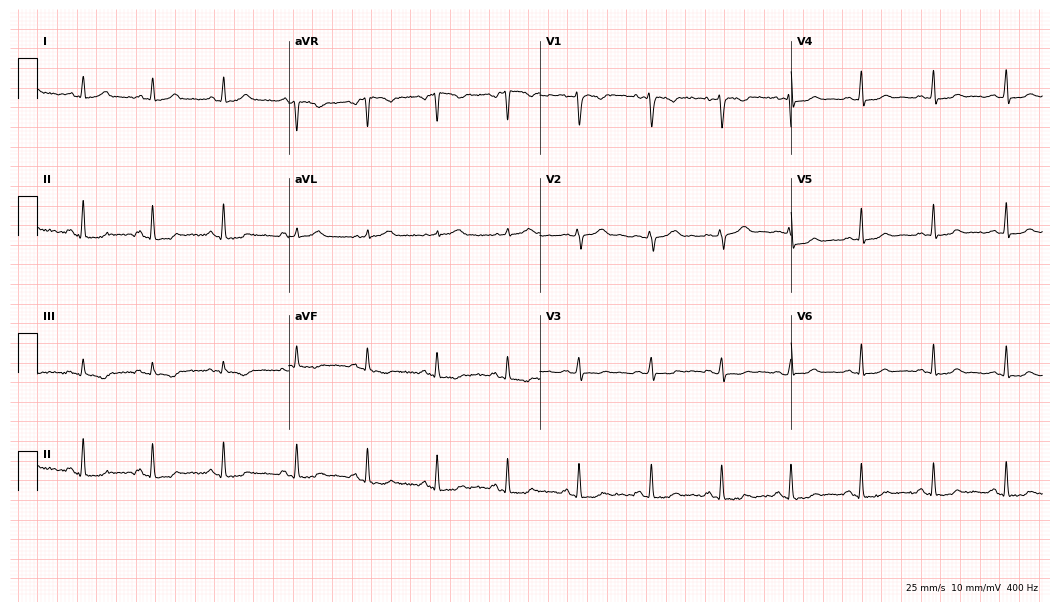
Resting 12-lead electrocardiogram. Patient: a woman, 22 years old. None of these six findings is recorded: first-degree AV block, right bundle branch block, left bundle branch block, sinus bradycardia, atrial fibrillation, sinus tachycardia. Findings outside these six are not listed.